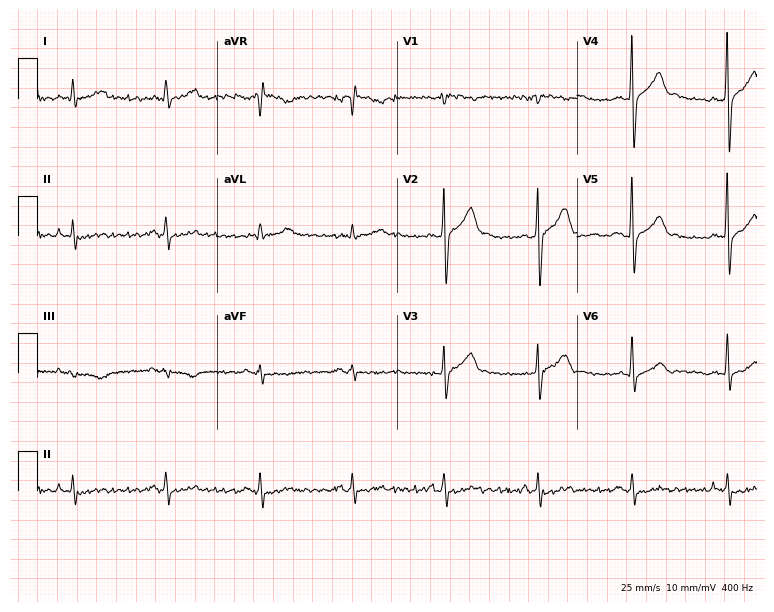
ECG — a 66-year-old male. Labelled as a normal ECG.